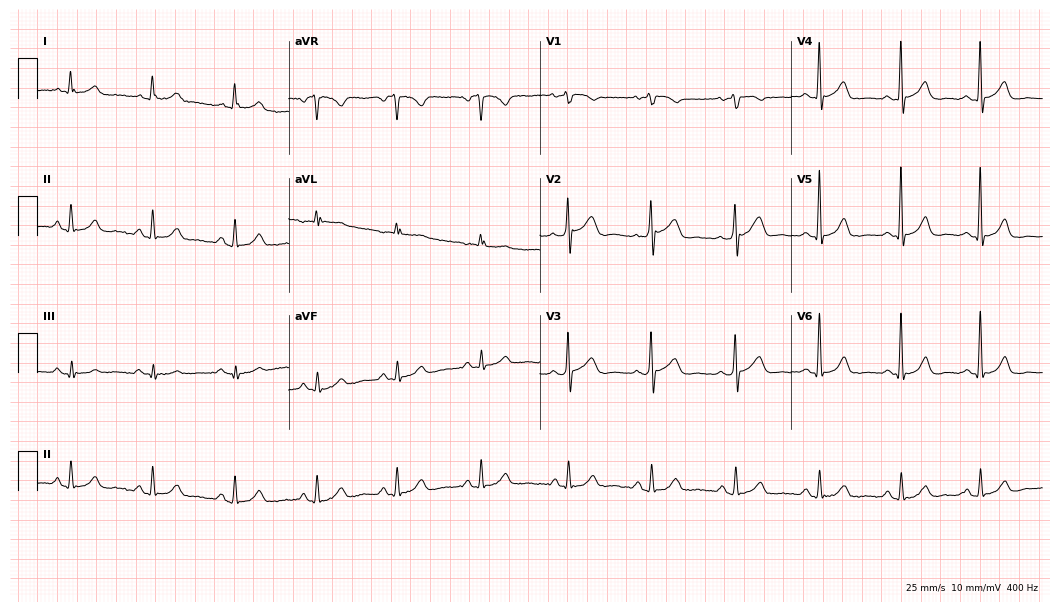
Standard 12-lead ECG recorded from a 70-year-old woman. Read as a normal ECG.